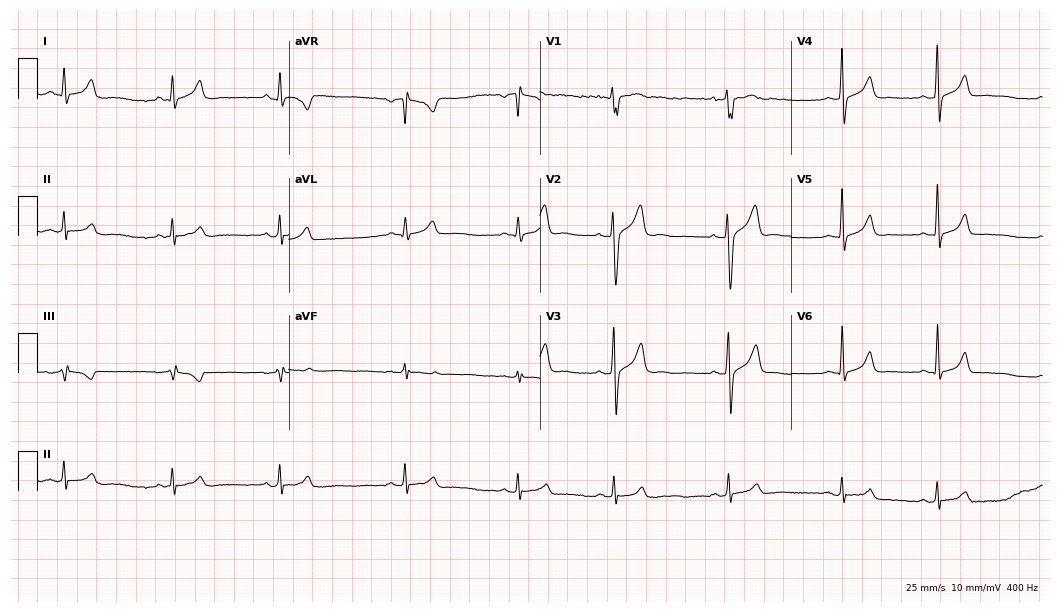
12-lead ECG from a 21-year-old male patient. Labelled as a normal ECG.